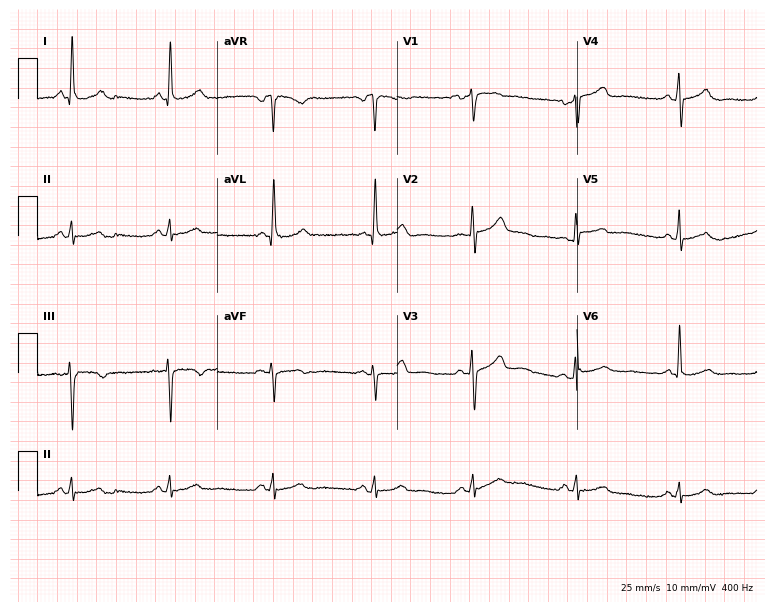
ECG — a 52-year-old female patient. Labelled as a normal ECG.